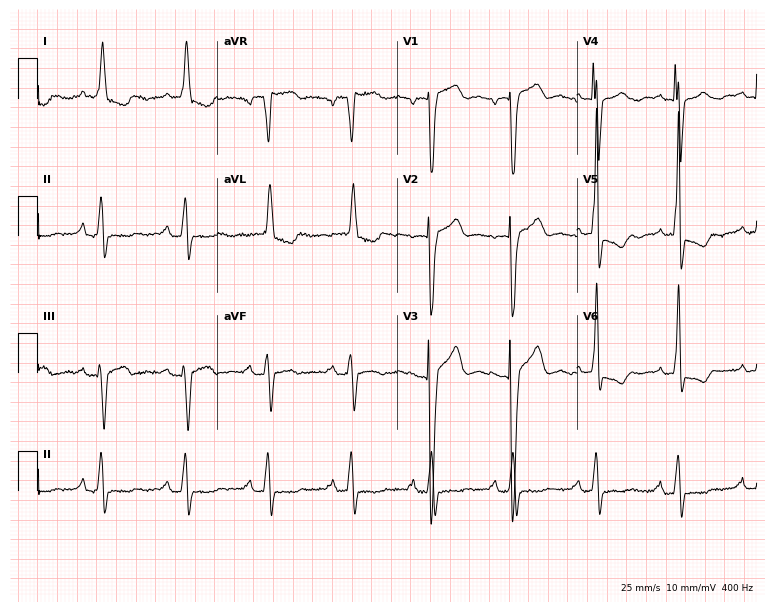
12-lead ECG from a woman, 81 years old. Screened for six findings — first-degree AV block, right bundle branch block, left bundle branch block, sinus bradycardia, atrial fibrillation, sinus tachycardia — none is recorded. Findings outside these six are not listed.